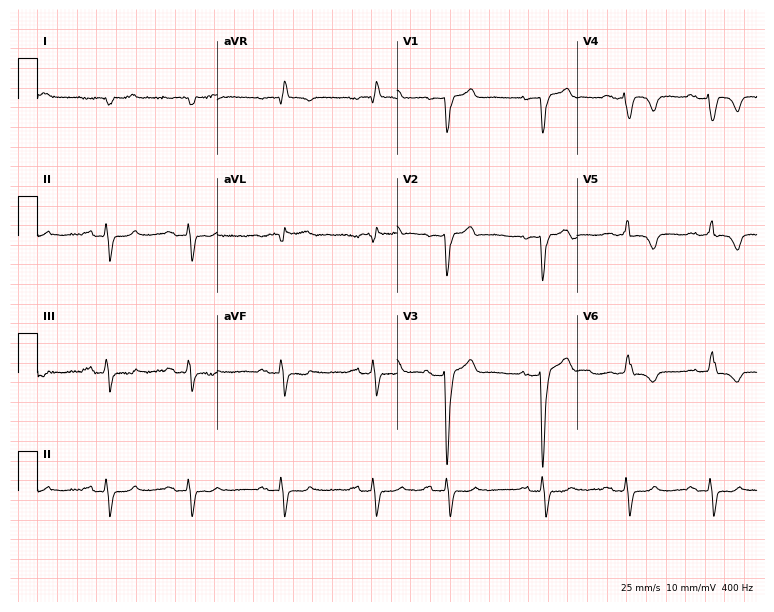
Standard 12-lead ECG recorded from an 83-year-old man (7.3-second recording at 400 Hz). None of these six findings is recorded: first-degree AV block, right bundle branch block (RBBB), left bundle branch block (LBBB), sinus bradycardia, atrial fibrillation (AF), sinus tachycardia.